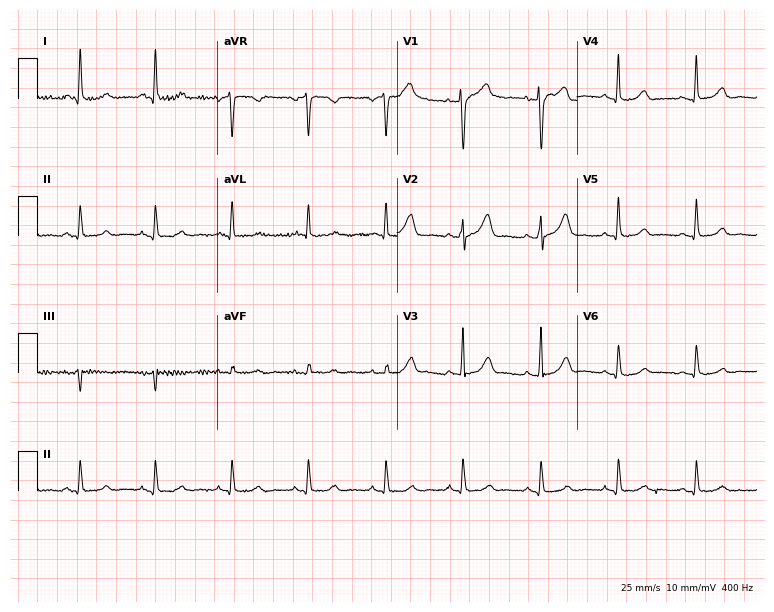
Electrocardiogram (7.3-second recording at 400 Hz), a 52-year-old female patient. Overall reading on record: normal ECG.